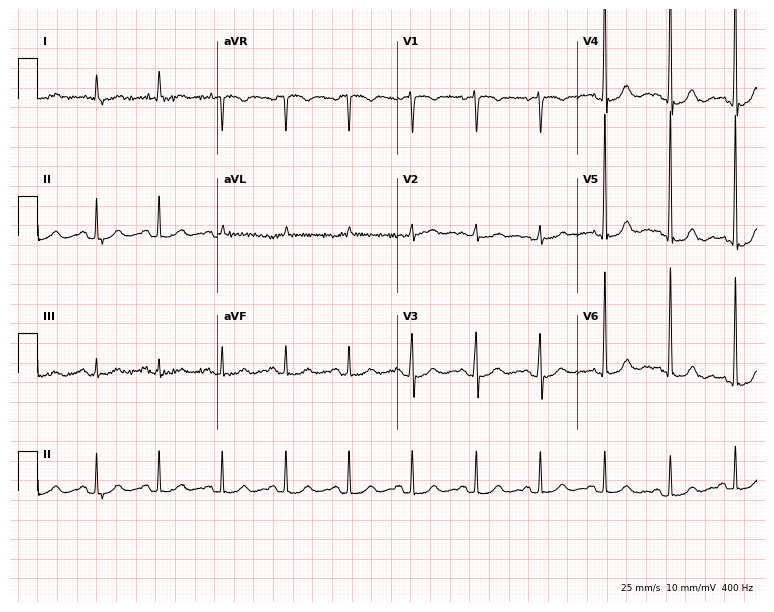
ECG — a male, 84 years old. Screened for six findings — first-degree AV block, right bundle branch block, left bundle branch block, sinus bradycardia, atrial fibrillation, sinus tachycardia — none is recorded.